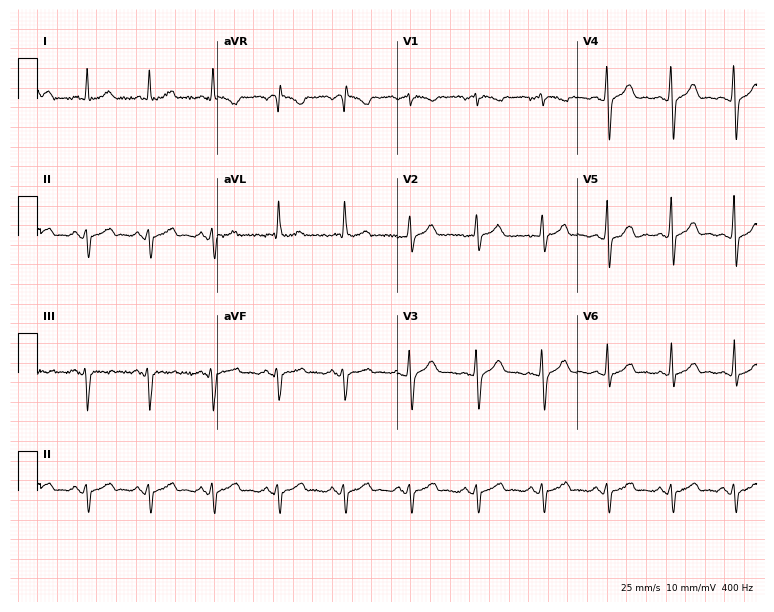
12-lead ECG from a 60-year-old male patient (7.3-second recording at 400 Hz). No first-degree AV block, right bundle branch block (RBBB), left bundle branch block (LBBB), sinus bradycardia, atrial fibrillation (AF) or sinus tachycardia recorded for this tracing.